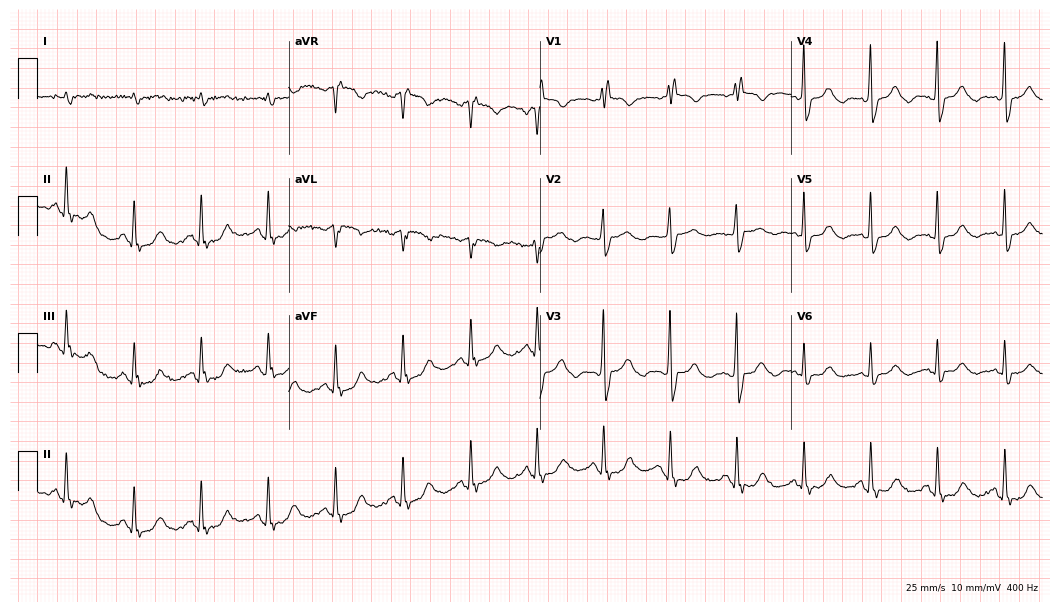
Standard 12-lead ECG recorded from a male patient, 74 years old. The tracing shows right bundle branch block (RBBB).